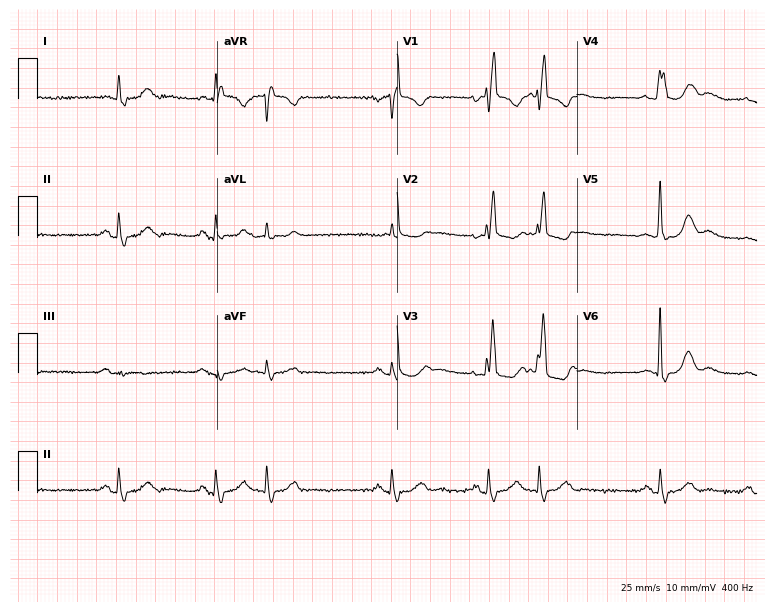
Resting 12-lead electrocardiogram (7.3-second recording at 400 Hz). Patient: a female, 78 years old. The tracing shows right bundle branch block (RBBB).